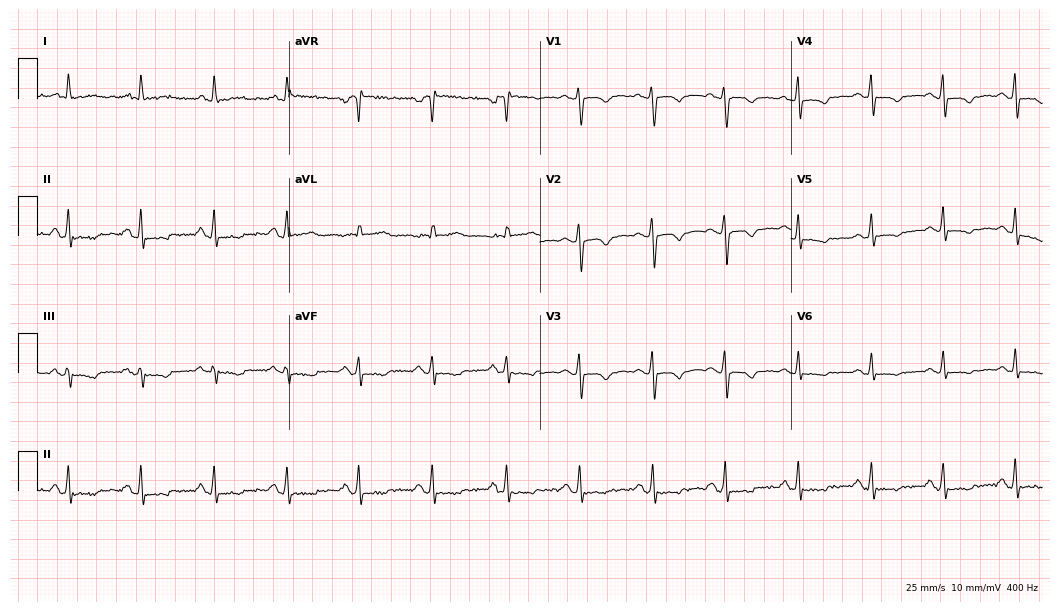
Electrocardiogram, a female, 47 years old. Of the six screened findings (first-degree AV block, right bundle branch block (RBBB), left bundle branch block (LBBB), sinus bradycardia, atrial fibrillation (AF), sinus tachycardia), none is recorded.